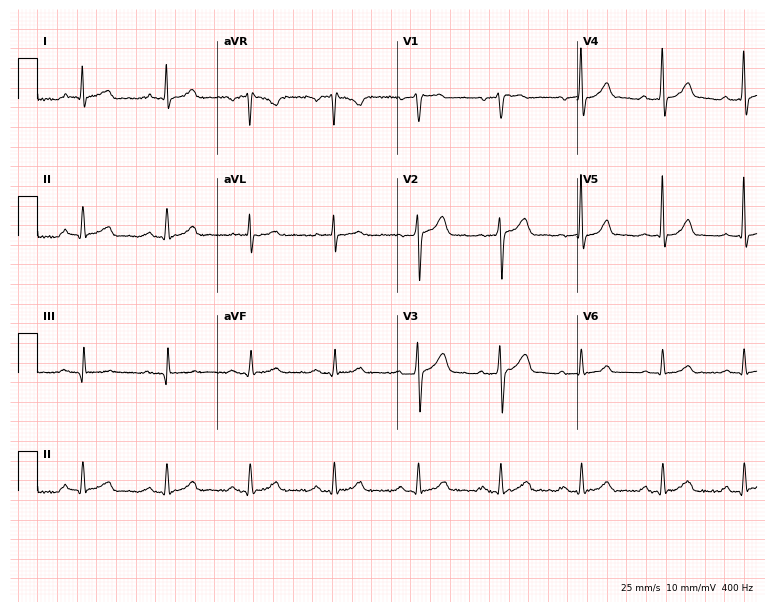
Resting 12-lead electrocardiogram. Patient: a male, 48 years old. None of these six findings is recorded: first-degree AV block, right bundle branch block, left bundle branch block, sinus bradycardia, atrial fibrillation, sinus tachycardia. Other findings, if any, are not listed.